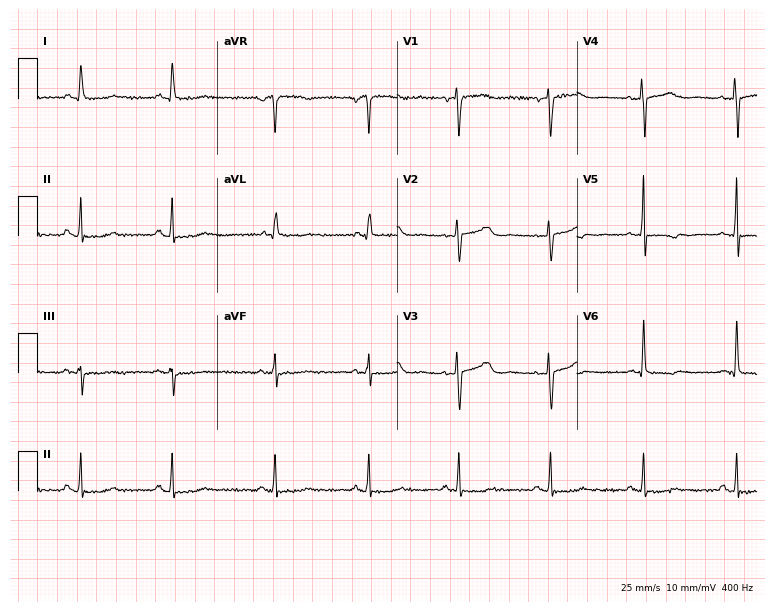
Resting 12-lead electrocardiogram (7.3-second recording at 400 Hz). Patient: a female, 53 years old. None of these six findings is recorded: first-degree AV block, right bundle branch block, left bundle branch block, sinus bradycardia, atrial fibrillation, sinus tachycardia. Findings outside these six are not listed.